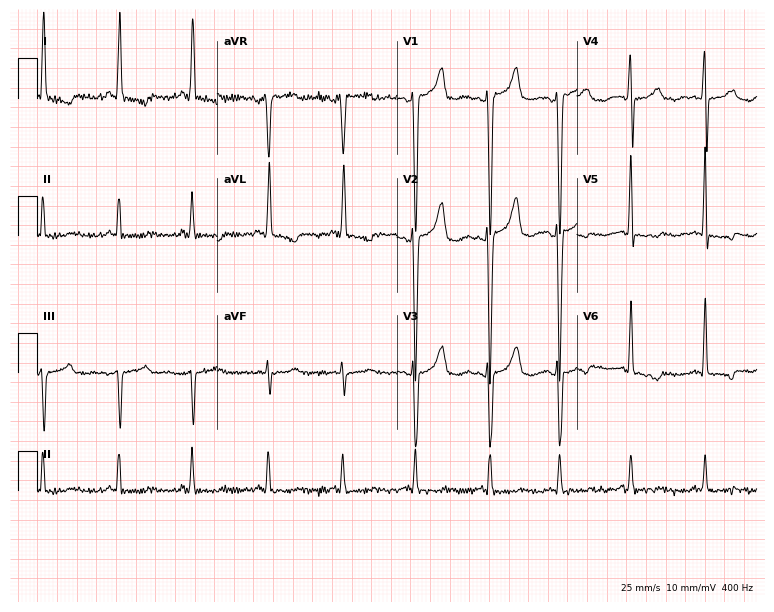
ECG (7.3-second recording at 400 Hz) — a 41-year-old woman. Screened for six findings — first-degree AV block, right bundle branch block, left bundle branch block, sinus bradycardia, atrial fibrillation, sinus tachycardia — none is recorded.